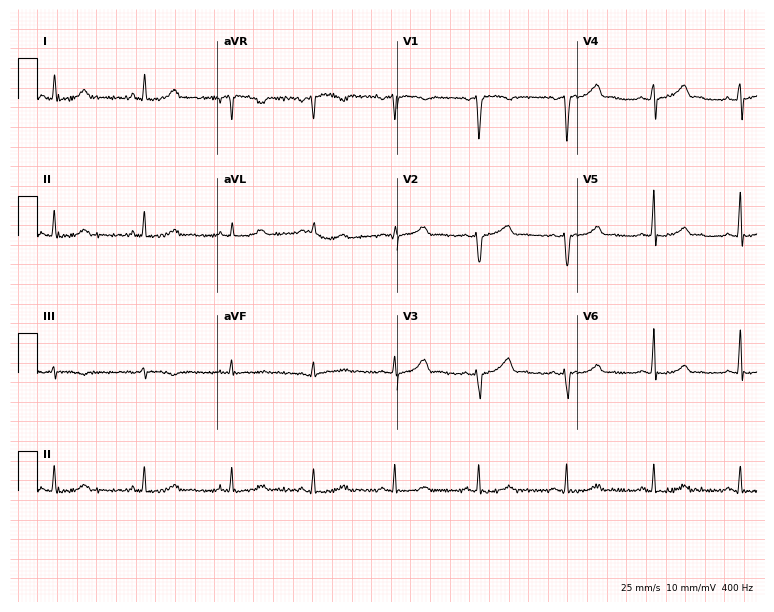
Standard 12-lead ECG recorded from a 44-year-old woman (7.3-second recording at 400 Hz). Read as a normal ECG.